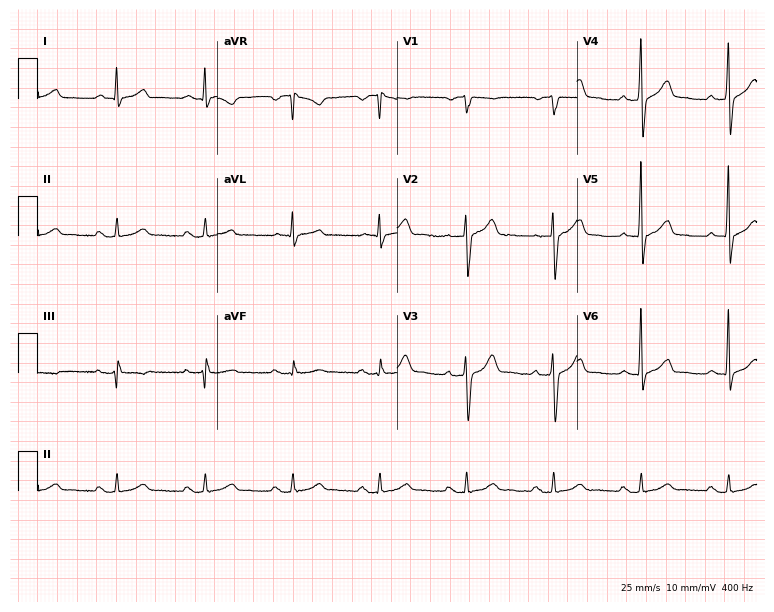
12-lead ECG from a 63-year-old male. Recorded interpretation: within normal limits.